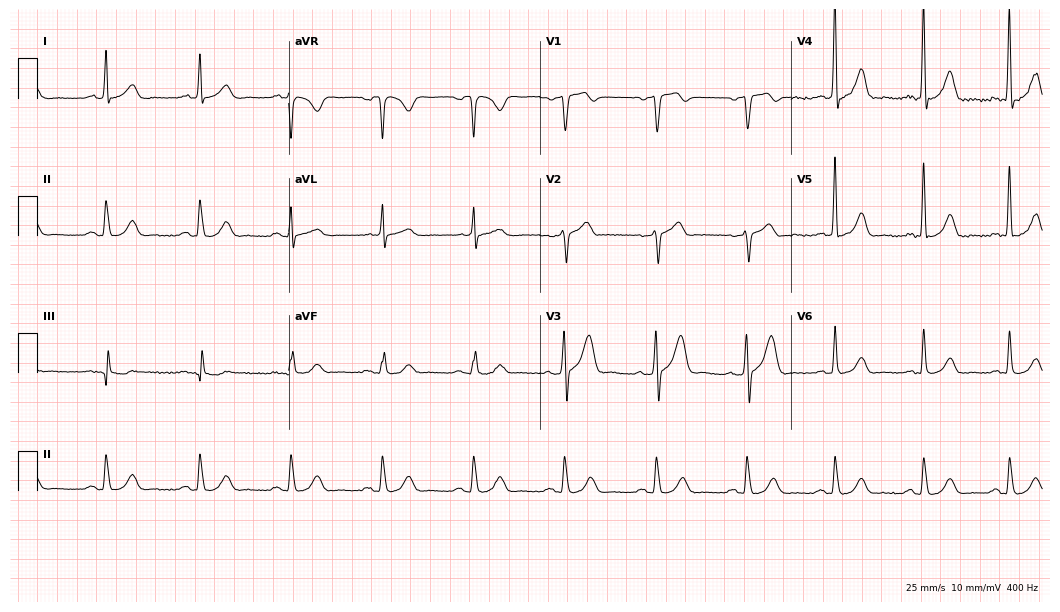
12-lead ECG (10.2-second recording at 400 Hz) from a 67-year-old male. Labelled as a normal ECG.